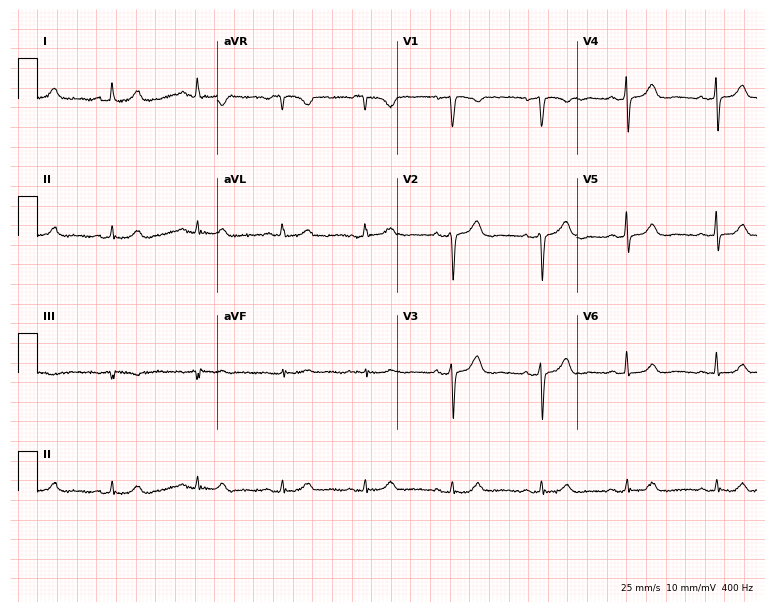
12-lead ECG from a woman, 68 years old. Screened for six findings — first-degree AV block, right bundle branch block (RBBB), left bundle branch block (LBBB), sinus bradycardia, atrial fibrillation (AF), sinus tachycardia — none is recorded. Only these six findings were labelled.